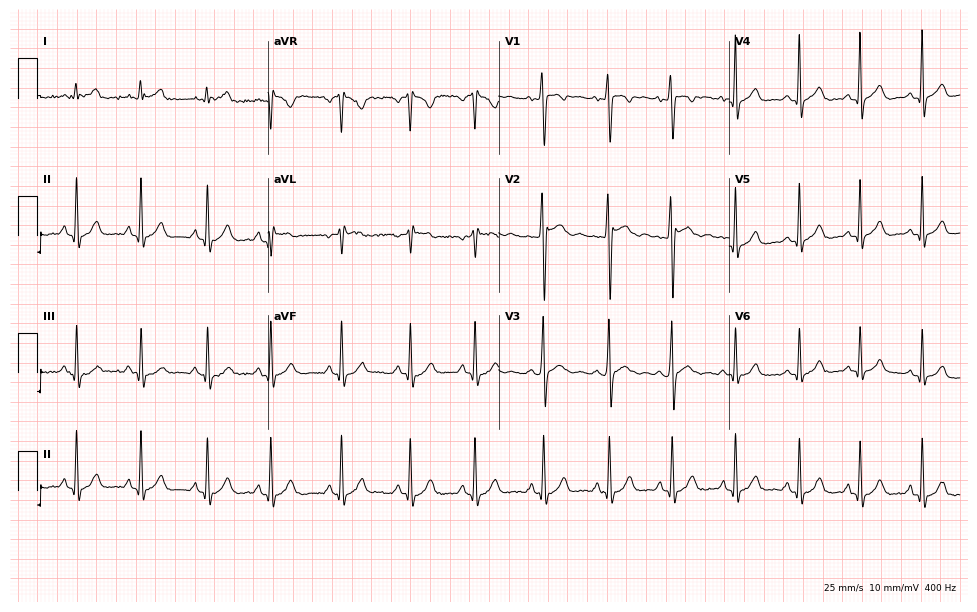
ECG (9.4-second recording at 400 Hz) — a 26-year-old male. Screened for six findings — first-degree AV block, right bundle branch block (RBBB), left bundle branch block (LBBB), sinus bradycardia, atrial fibrillation (AF), sinus tachycardia — none is recorded. Only these six findings were labelled.